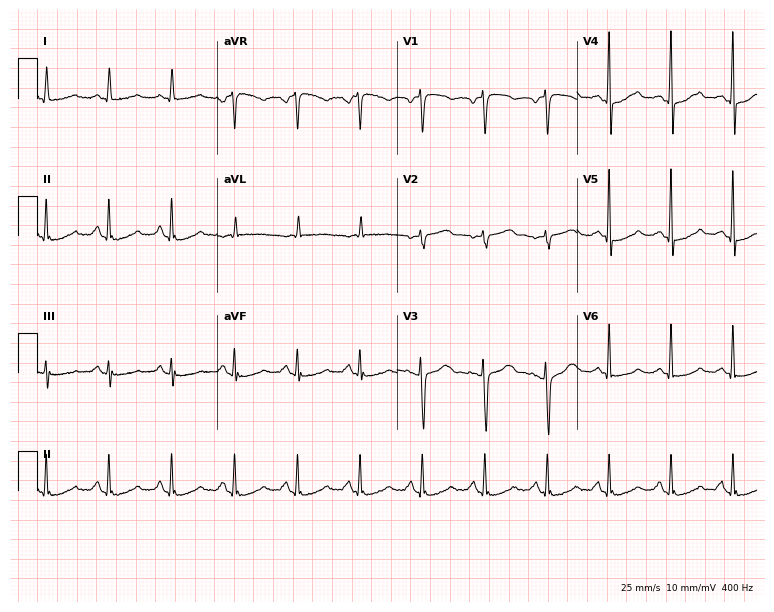
Standard 12-lead ECG recorded from a woman, 74 years old (7.3-second recording at 400 Hz). Read as a normal ECG.